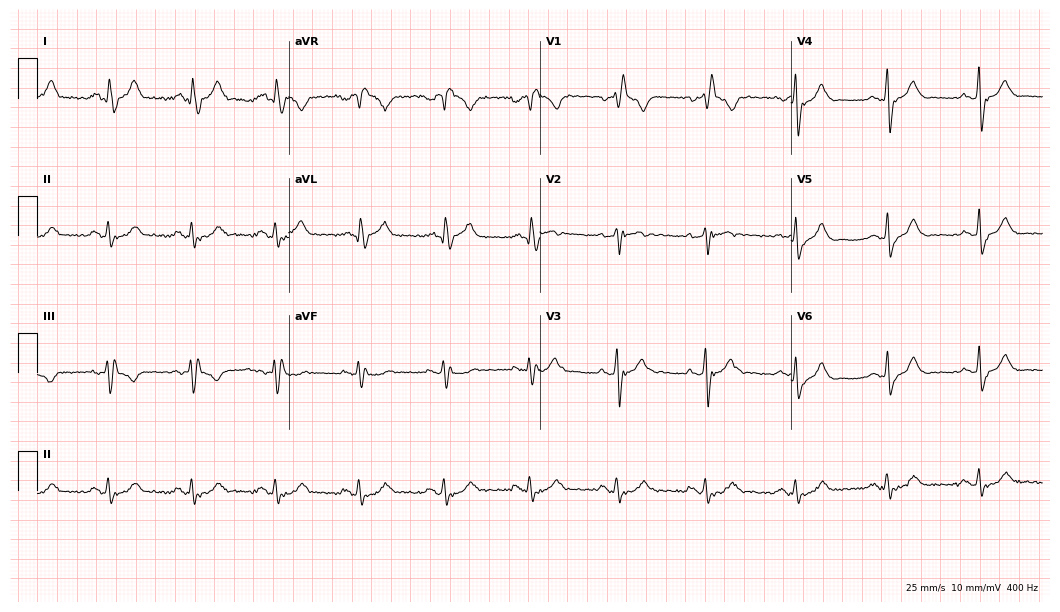
Electrocardiogram (10.2-second recording at 400 Hz), a 58-year-old male patient. Of the six screened findings (first-degree AV block, right bundle branch block, left bundle branch block, sinus bradycardia, atrial fibrillation, sinus tachycardia), none is recorded. Other findings, if any, are not listed.